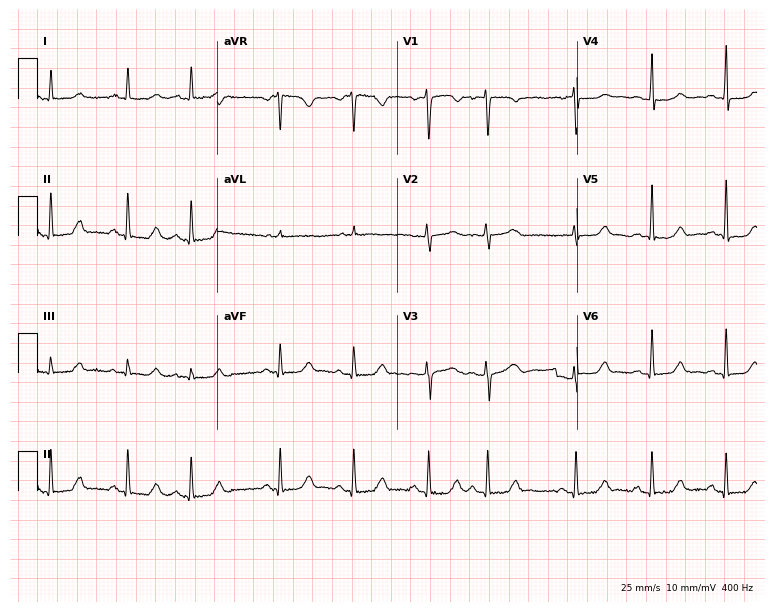
ECG — a female, 27 years old. Screened for six findings — first-degree AV block, right bundle branch block (RBBB), left bundle branch block (LBBB), sinus bradycardia, atrial fibrillation (AF), sinus tachycardia — none is recorded. Other findings, if any, are not listed.